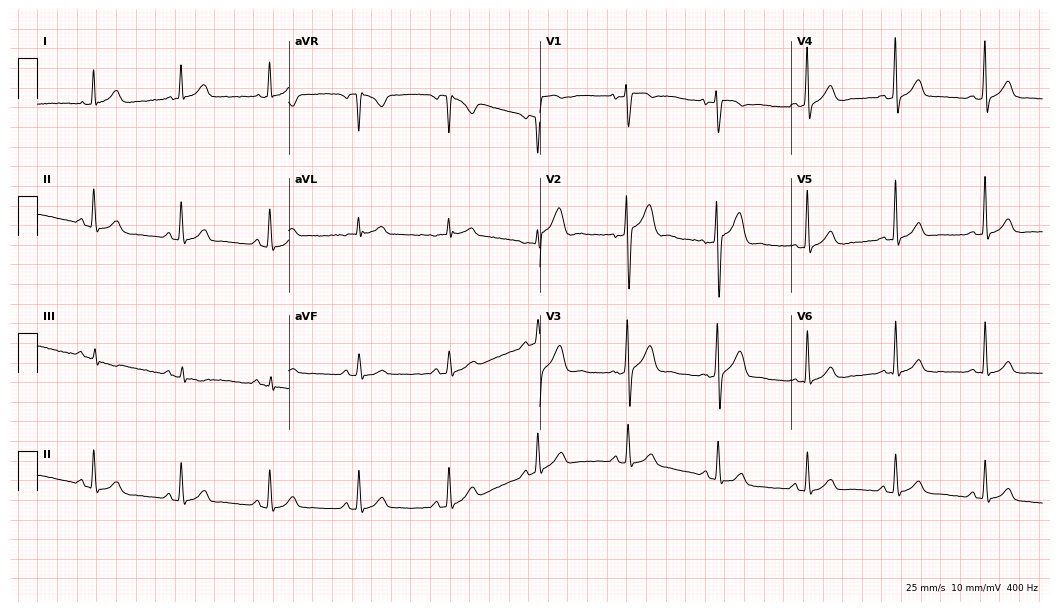
ECG (10.2-second recording at 400 Hz) — a male patient, 44 years old. Labelled as a normal ECG.